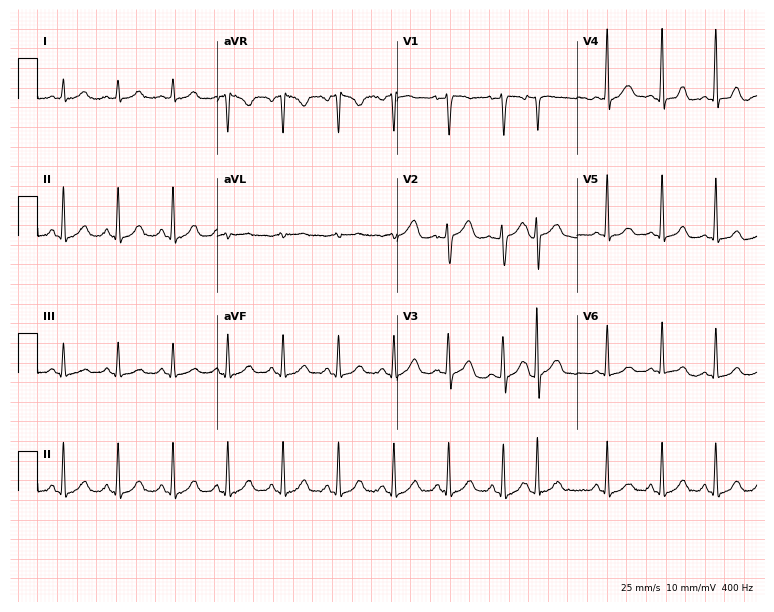
12-lead ECG from a 46-year-old female. Shows sinus tachycardia (a sinus rate of 100 beats per minute or more).